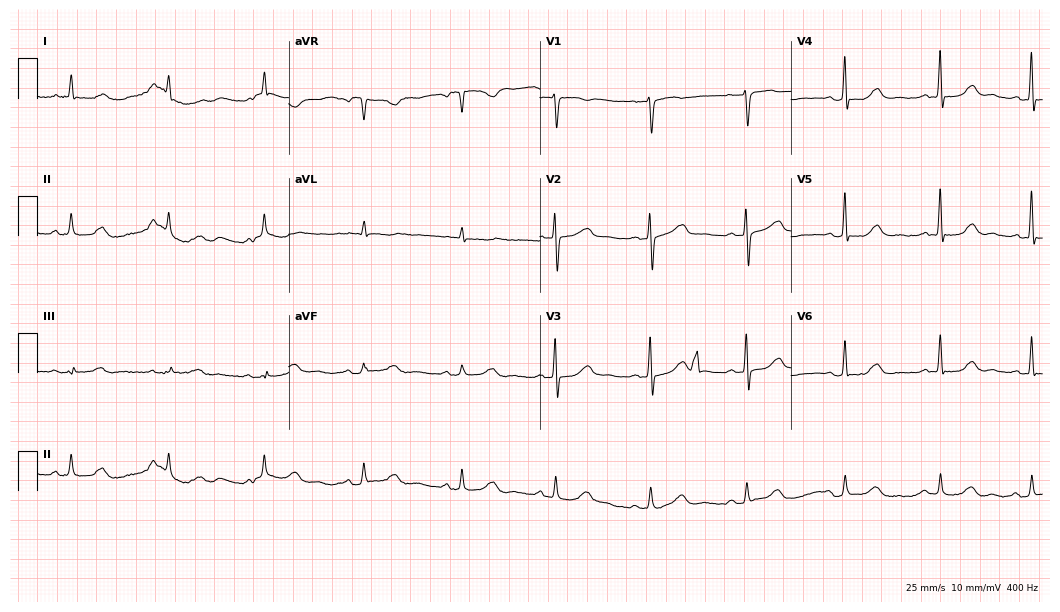
Resting 12-lead electrocardiogram. Patient: a woman, 67 years old. None of these six findings is recorded: first-degree AV block, right bundle branch block (RBBB), left bundle branch block (LBBB), sinus bradycardia, atrial fibrillation (AF), sinus tachycardia.